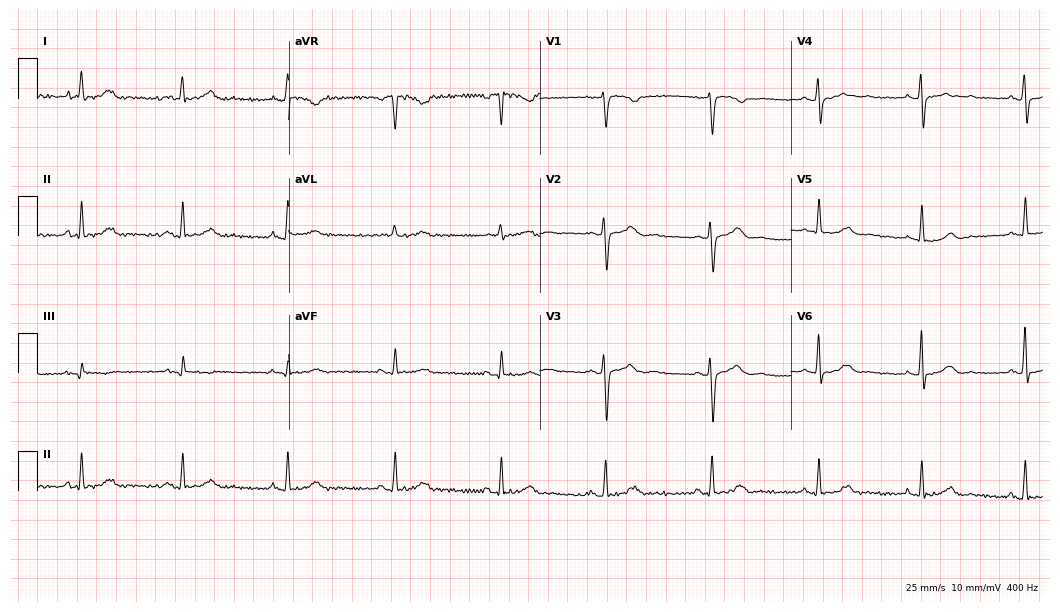
12-lead ECG from a 45-year-old female. Recorded interpretation: within normal limits.